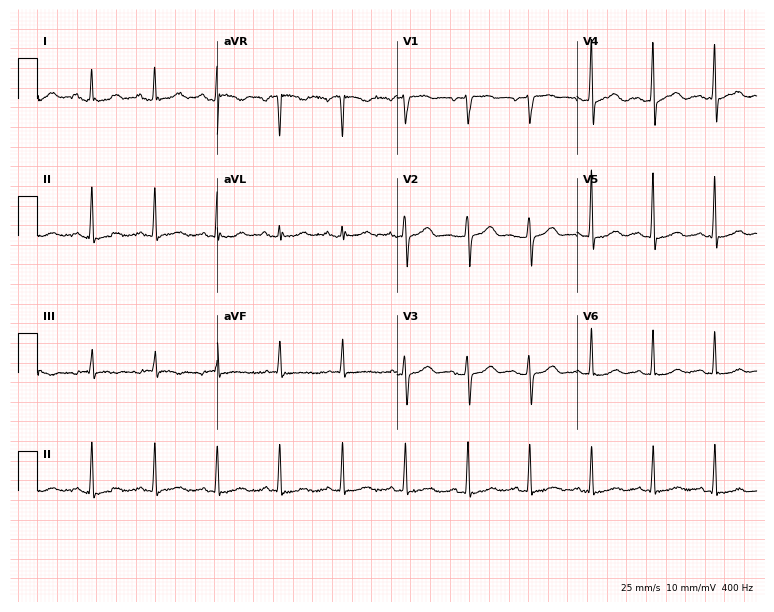
12-lead ECG from a female patient, 65 years old (7.3-second recording at 400 Hz). Recorded interpretation: within normal limits.